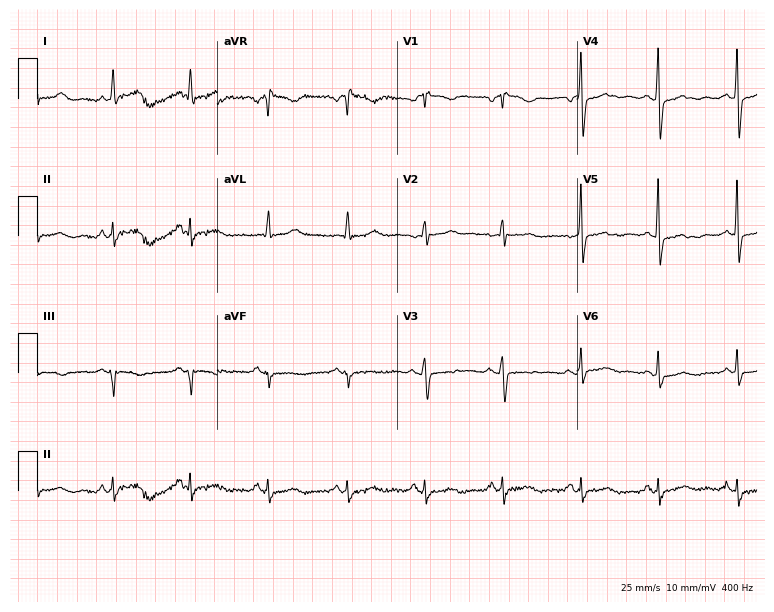
Standard 12-lead ECG recorded from a female patient, 65 years old. None of these six findings is recorded: first-degree AV block, right bundle branch block, left bundle branch block, sinus bradycardia, atrial fibrillation, sinus tachycardia. Only these six findings were labelled.